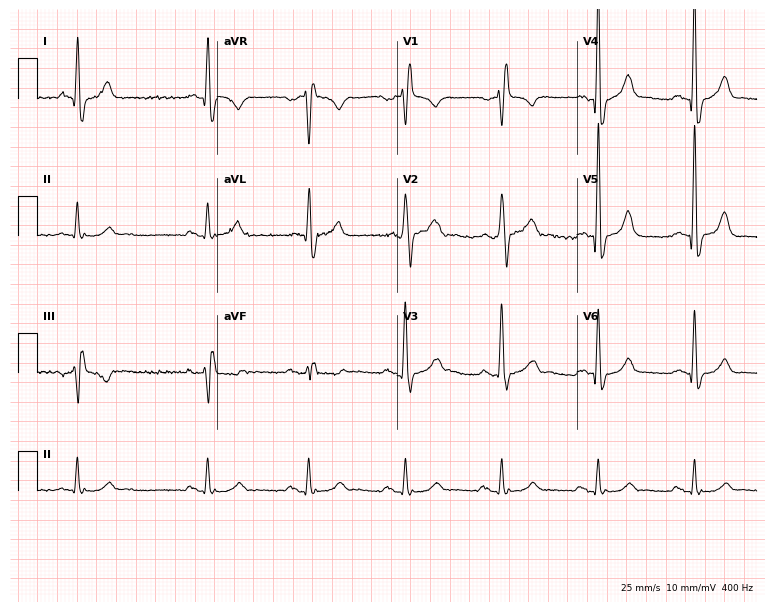
12-lead ECG (7.3-second recording at 400 Hz) from a 69-year-old man. Findings include right bundle branch block.